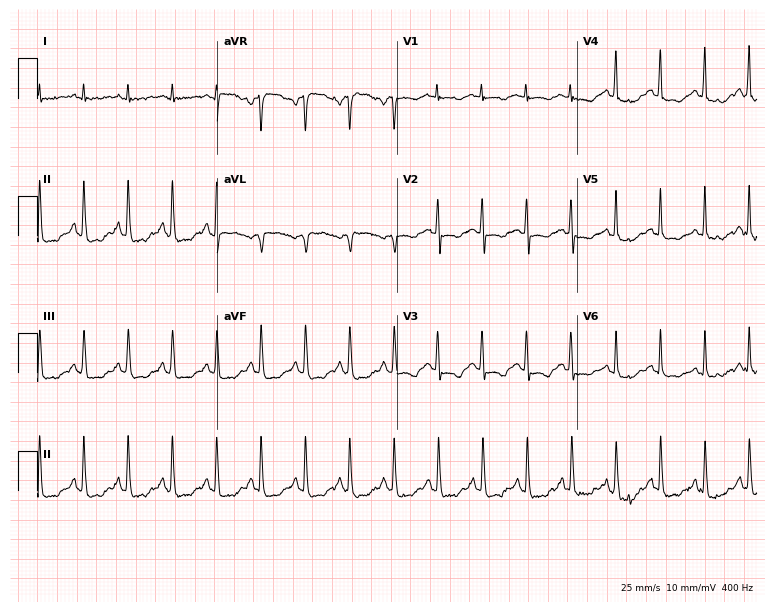
12-lead ECG (7.3-second recording at 400 Hz) from a 44-year-old female patient. Findings include sinus tachycardia (a sinus rate of 100 beats per minute or more).